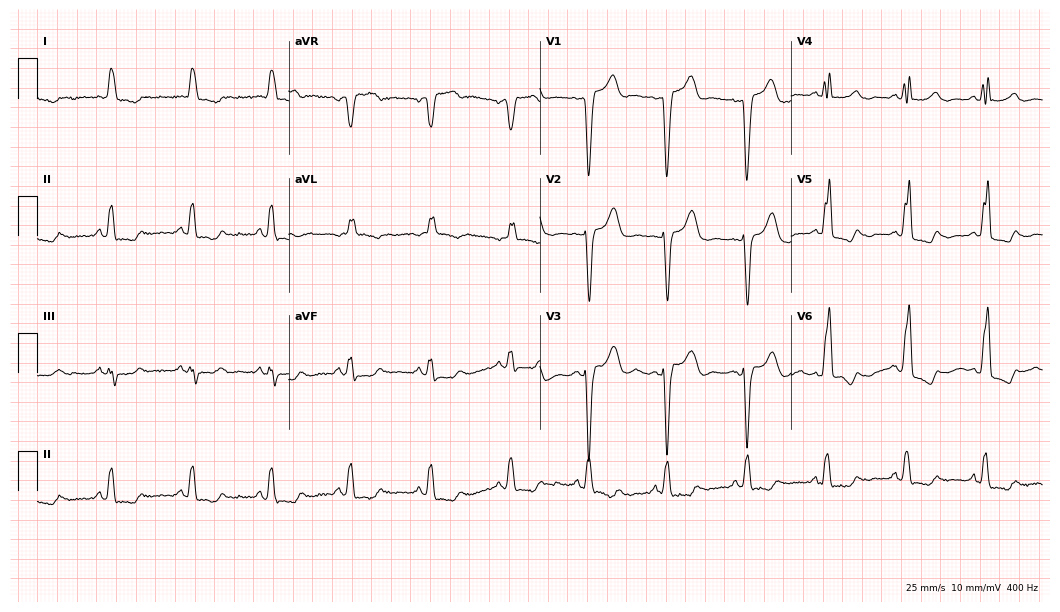
Electrocardiogram (10.2-second recording at 400 Hz), a 72-year-old female patient. Interpretation includes left bundle branch block (LBBB).